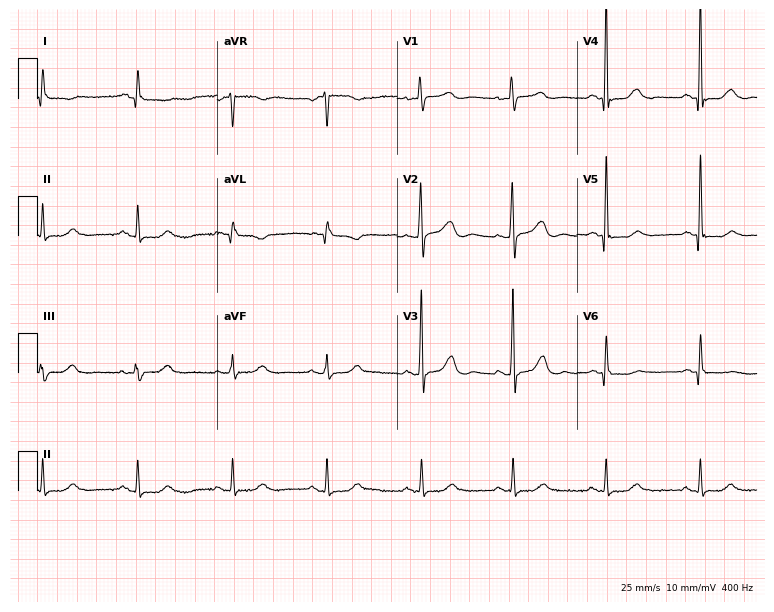
Standard 12-lead ECG recorded from a woman, 82 years old (7.3-second recording at 400 Hz). None of these six findings is recorded: first-degree AV block, right bundle branch block, left bundle branch block, sinus bradycardia, atrial fibrillation, sinus tachycardia. Only these six findings were labelled.